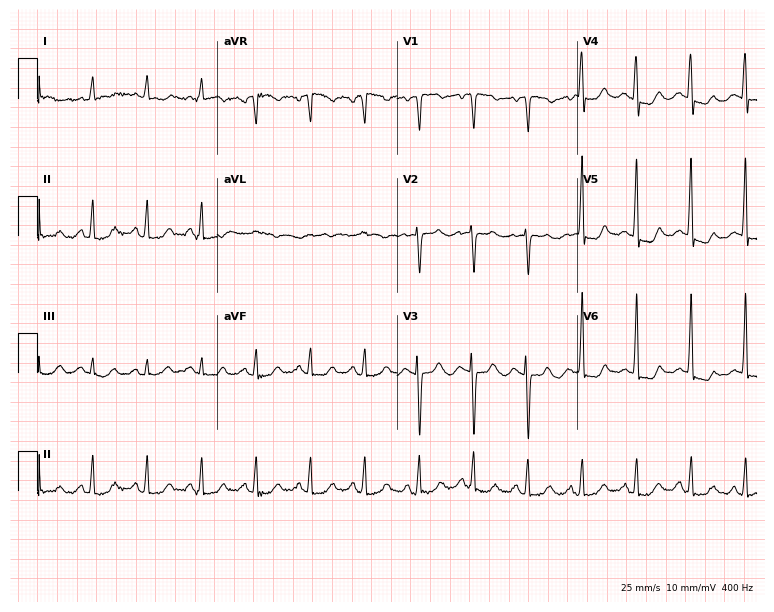
ECG (7.3-second recording at 400 Hz) — a 68-year-old female patient. Findings include sinus tachycardia (a sinus rate of 100 beats per minute or more).